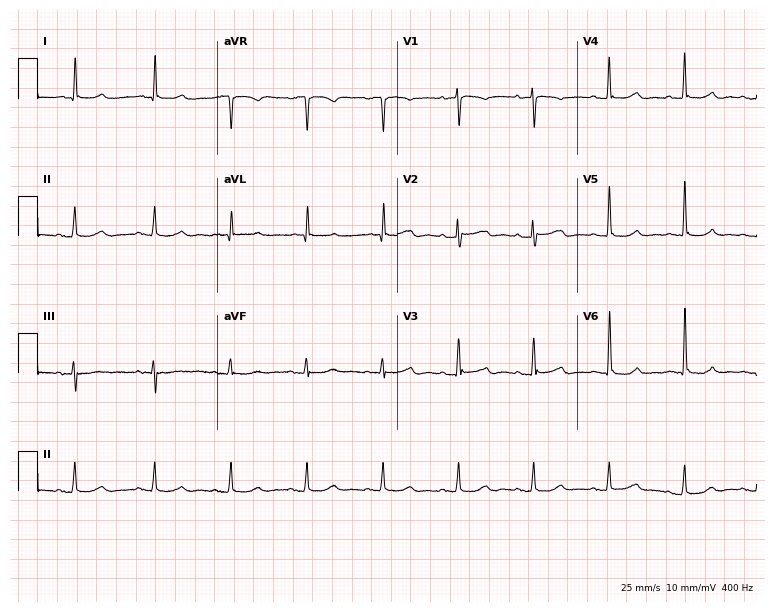
ECG (7.3-second recording at 400 Hz) — a 70-year-old woman. Labelled as a normal ECG.